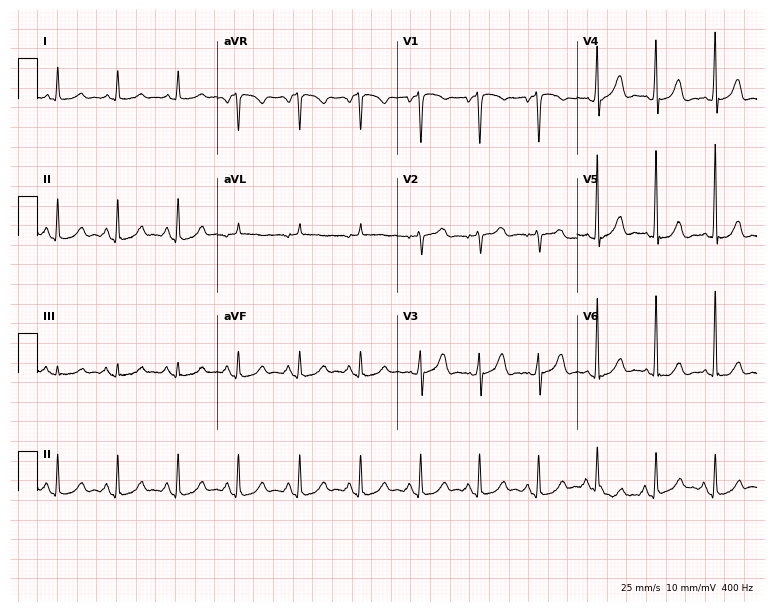
ECG — a 67-year-old male. Labelled as a normal ECG.